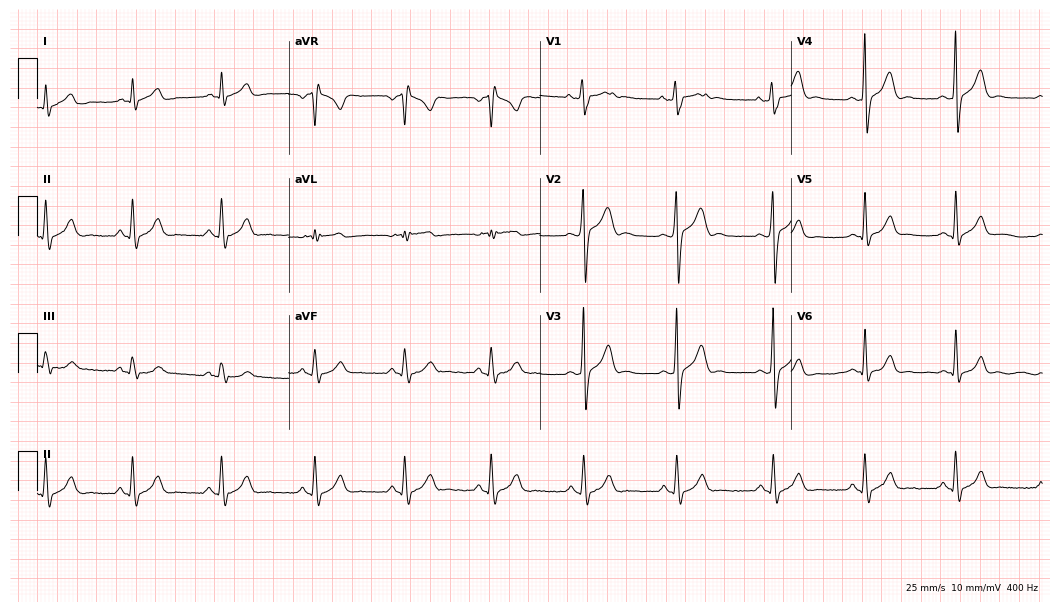
Resting 12-lead electrocardiogram. Patient: a 19-year-old male. None of these six findings is recorded: first-degree AV block, right bundle branch block, left bundle branch block, sinus bradycardia, atrial fibrillation, sinus tachycardia.